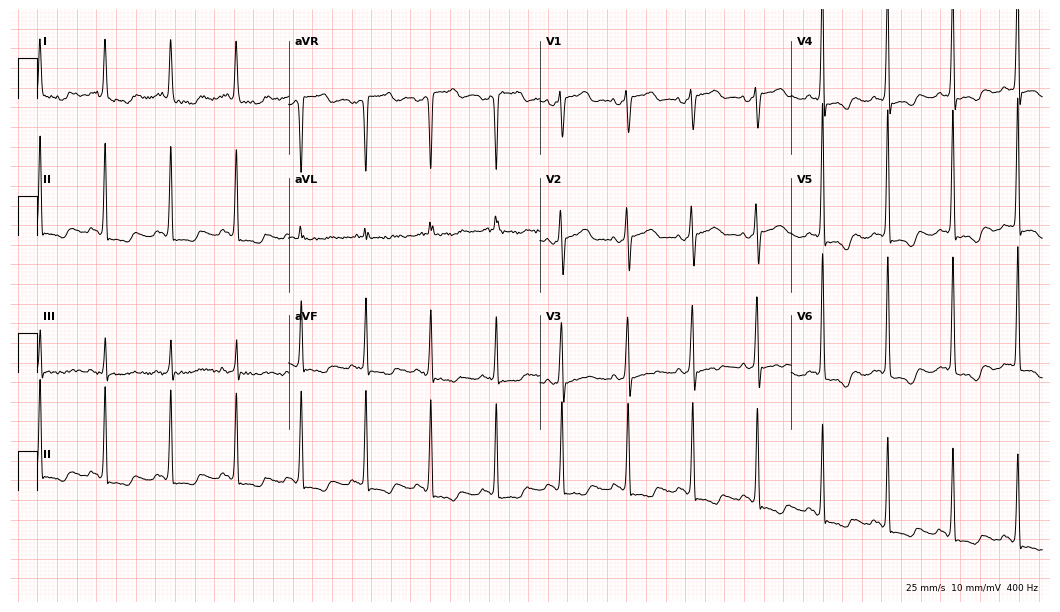
Electrocardiogram, a female, 70 years old. Of the six screened findings (first-degree AV block, right bundle branch block, left bundle branch block, sinus bradycardia, atrial fibrillation, sinus tachycardia), none is recorded.